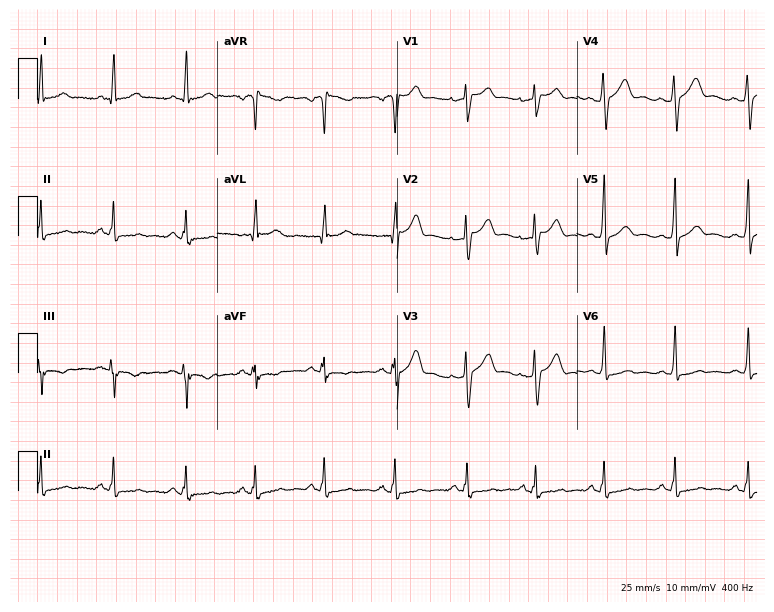
Electrocardiogram (7.3-second recording at 400 Hz), a man, 33 years old. Overall reading on record: normal ECG.